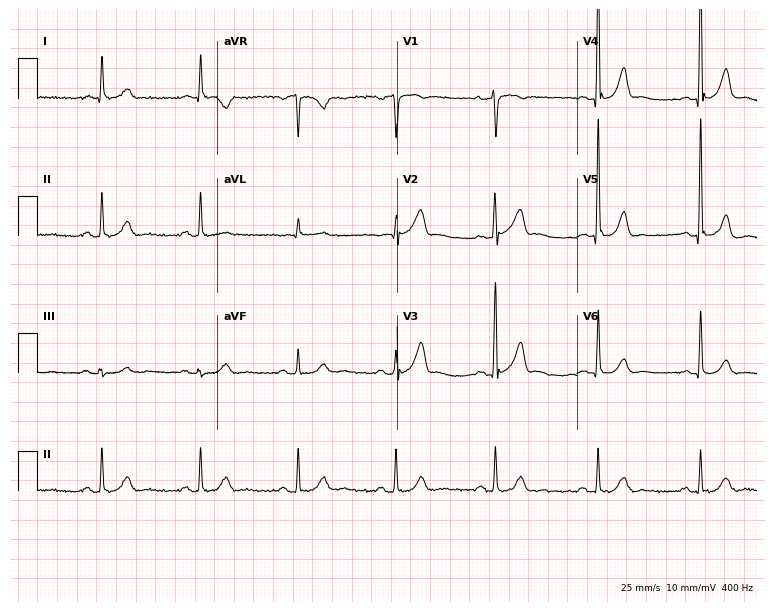
Electrocardiogram, a 68-year-old man. Overall reading on record: normal ECG.